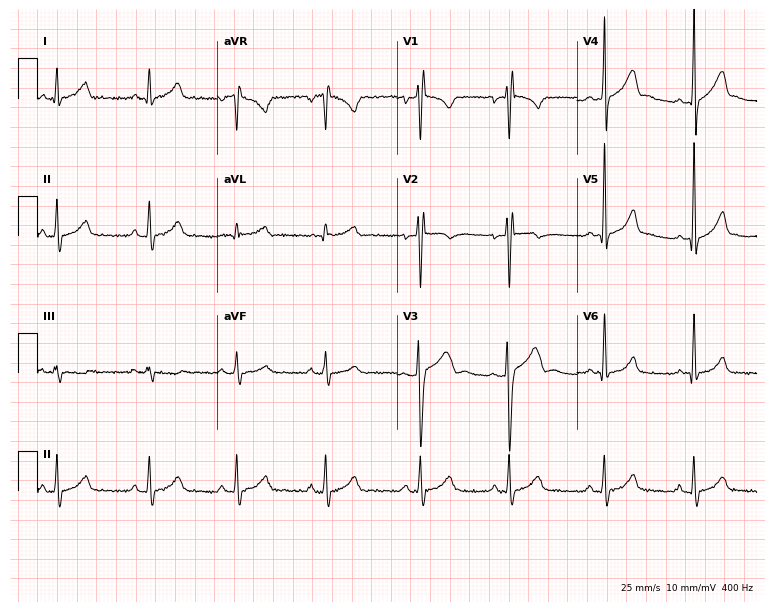
12-lead ECG from a 17-year-old male (7.3-second recording at 400 Hz). No first-degree AV block, right bundle branch block, left bundle branch block, sinus bradycardia, atrial fibrillation or sinus tachycardia recorded for this tracing. Findings outside these six are not listed.